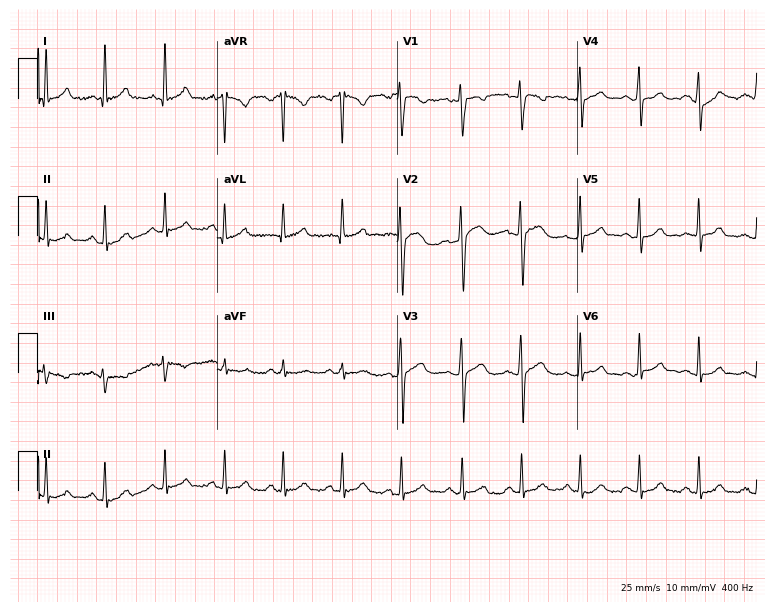
12-lead ECG from a female, 35 years old (7.3-second recording at 400 Hz). No first-degree AV block, right bundle branch block (RBBB), left bundle branch block (LBBB), sinus bradycardia, atrial fibrillation (AF) or sinus tachycardia recorded for this tracing. Findings outside these six are not listed.